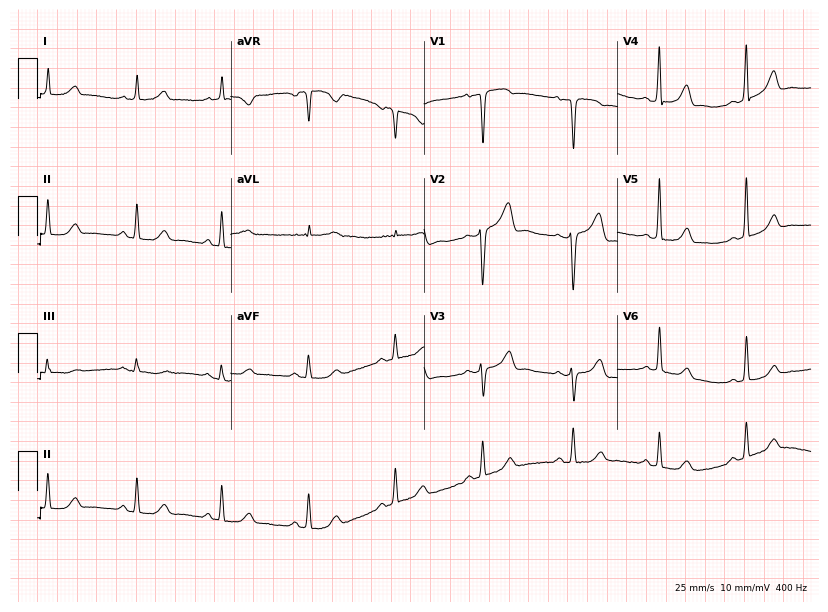
Electrocardiogram (7.9-second recording at 400 Hz), a female, 43 years old. Overall reading on record: normal ECG.